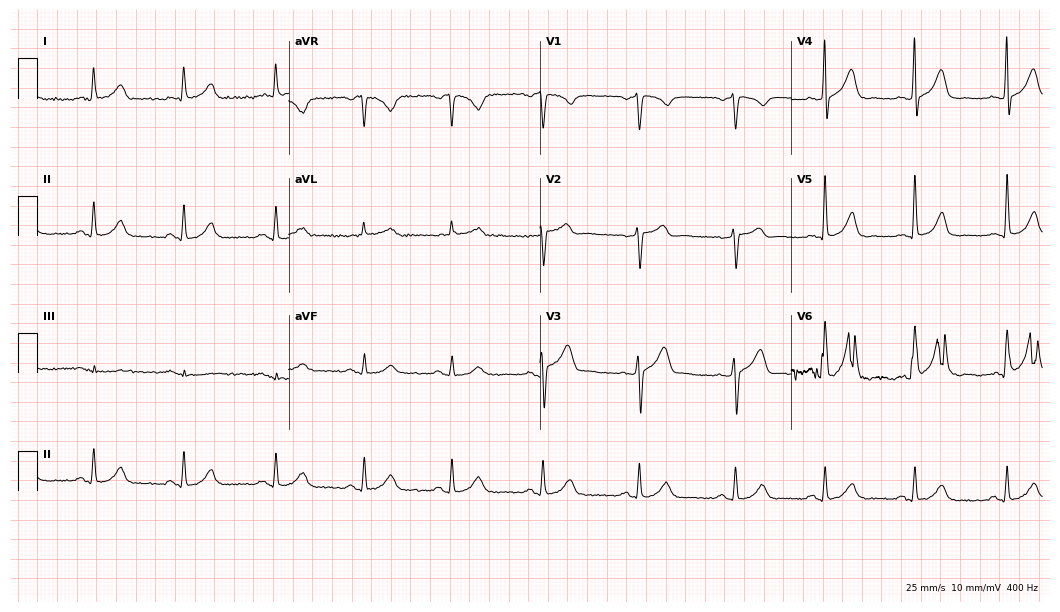
Resting 12-lead electrocardiogram. Patient: a 48-year-old man. Read as a normal ECG.